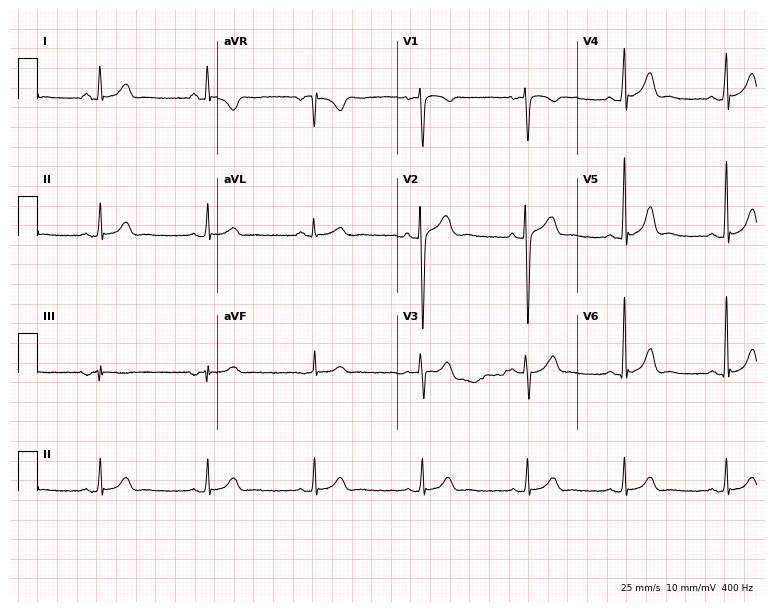
12-lead ECG from a male patient, 29 years old (7.3-second recording at 400 Hz). Recorded interpretation: within normal limits.